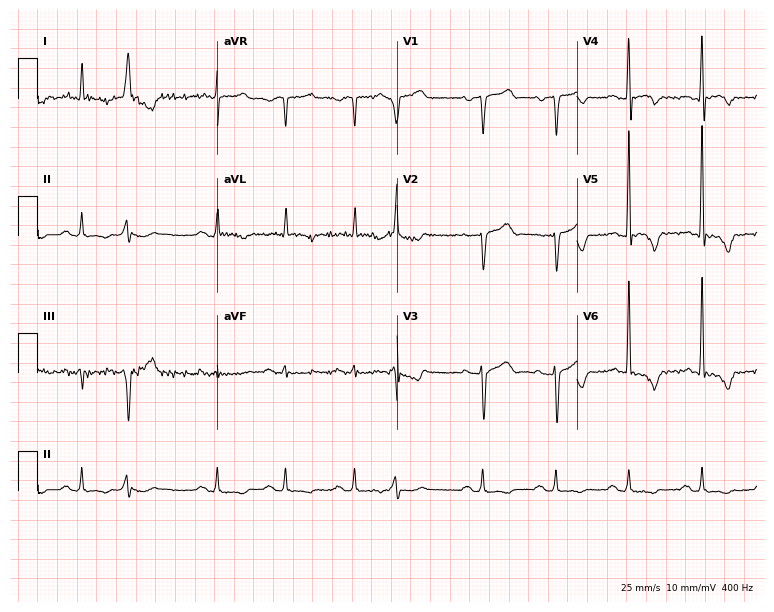
ECG (7.3-second recording at 400 Hz) — a male patient, 70 years old. Screened for six findings — first-degree AV block, right bundle branch block, left bundle branch block, sinus bradycardia, atrial fibrillation, sinus tachycardia — none is recorded.